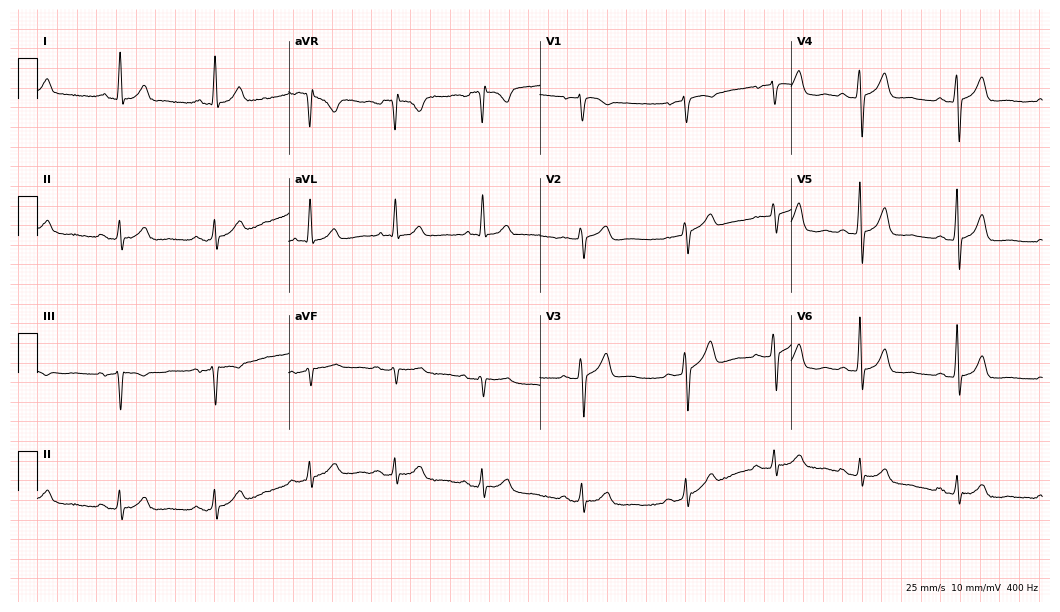
Resting 12-lead electrocardiogram. Patient: a female, 60 years old. Read as a normal ECG.